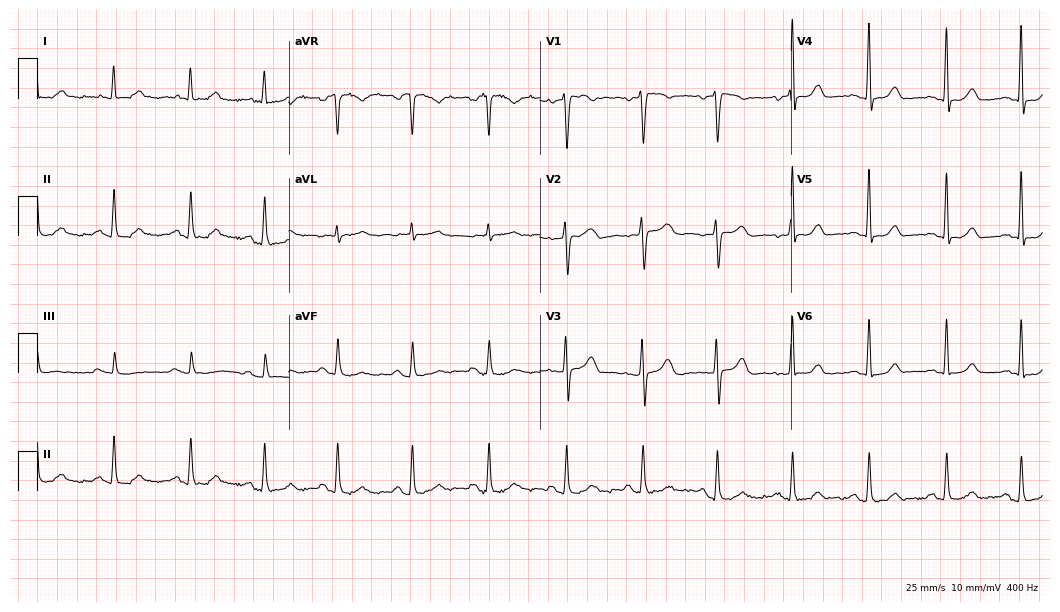
12-lead ECG (10.2-second recording at 400 Hz) from a 51-year-old woman. Labelled as a normal ECG.